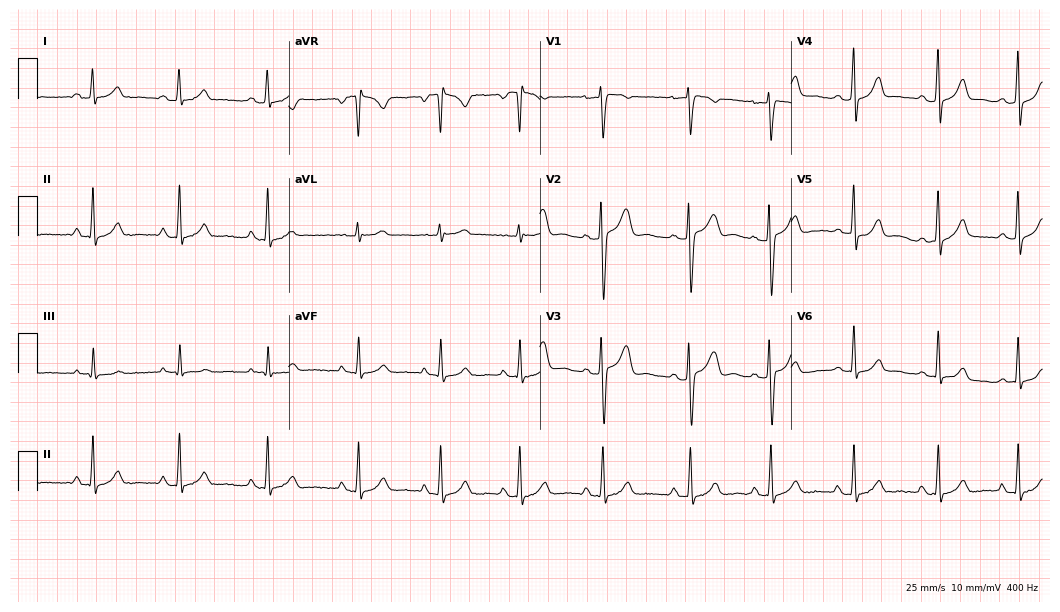
12-lead ECG (10.2-second recording at 400 Hz) from a female patient, 25 years old. Labelled as a normal ECG.